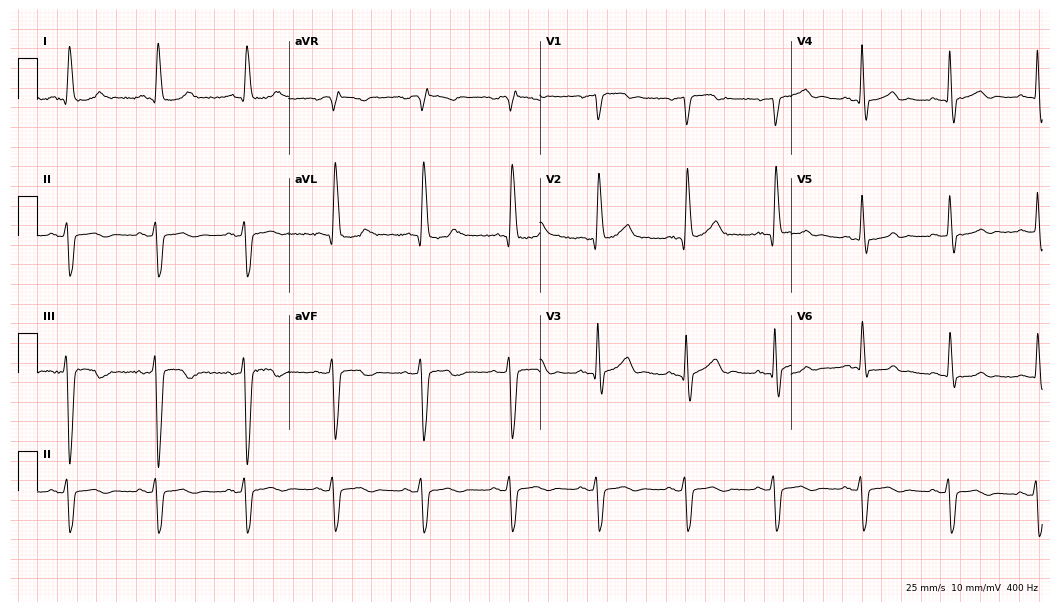
12-lead ECG from a male, 72 years old. Screened for six findings — first-degree AV block, right bundle branch block, left bundle branch block, sinus bradycardia, atrial fibrillation, sinus tachycardia — none is recorded.